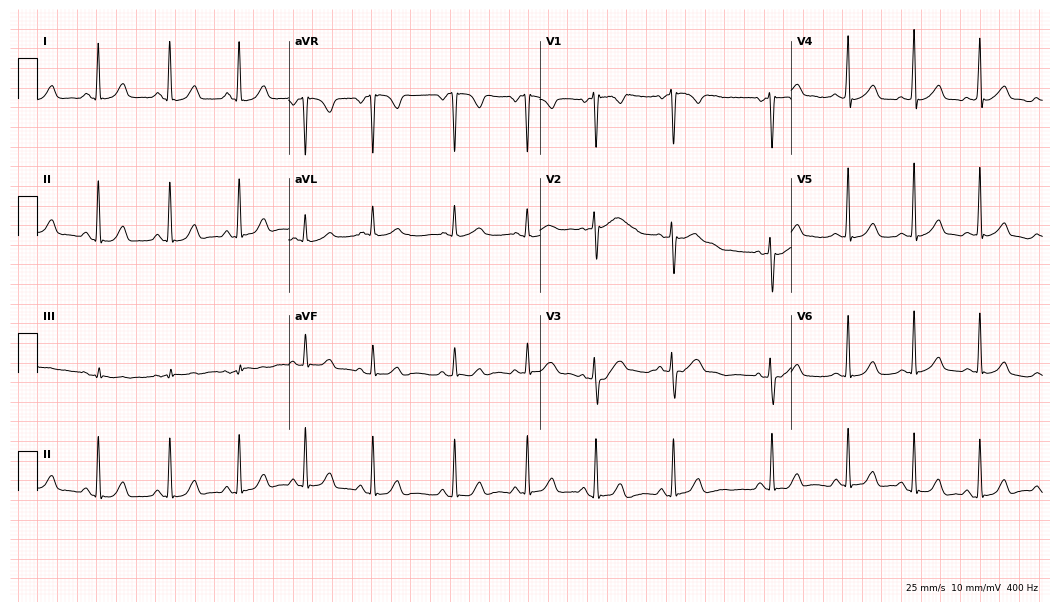
Resting 12-lead electrocardiogram. Patient: a female, 18 years old. Read as a normal ECG.